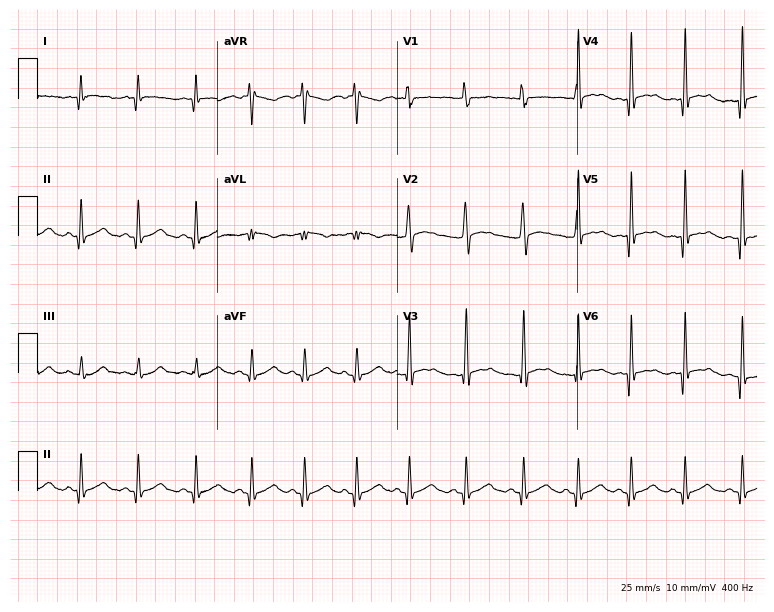
12-lead ECG from a man, 19 years old (7.3-second recording at 400 Hz). Shows sinus tachycardia (a sinus rate of 100 beats per minute or more).